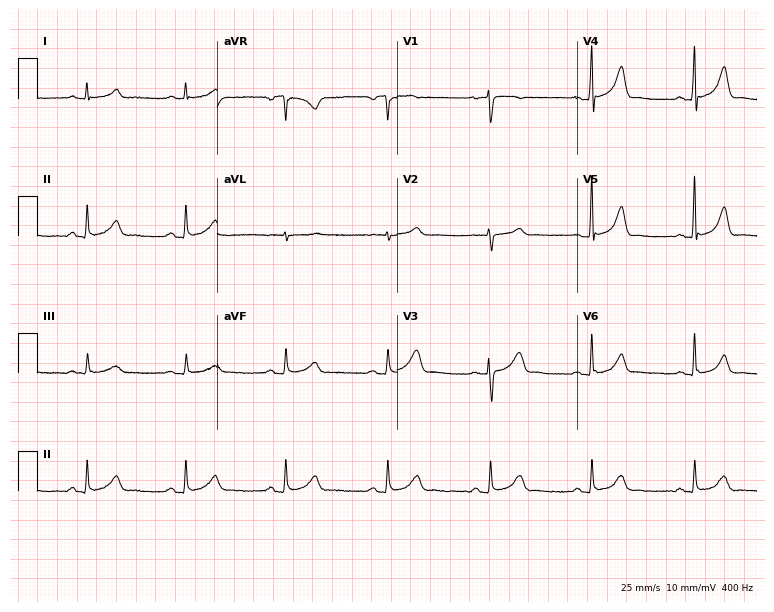
Resting 12-lead electrocardiogram. Patient: a female, 58 years old. Read as a normal ECG.